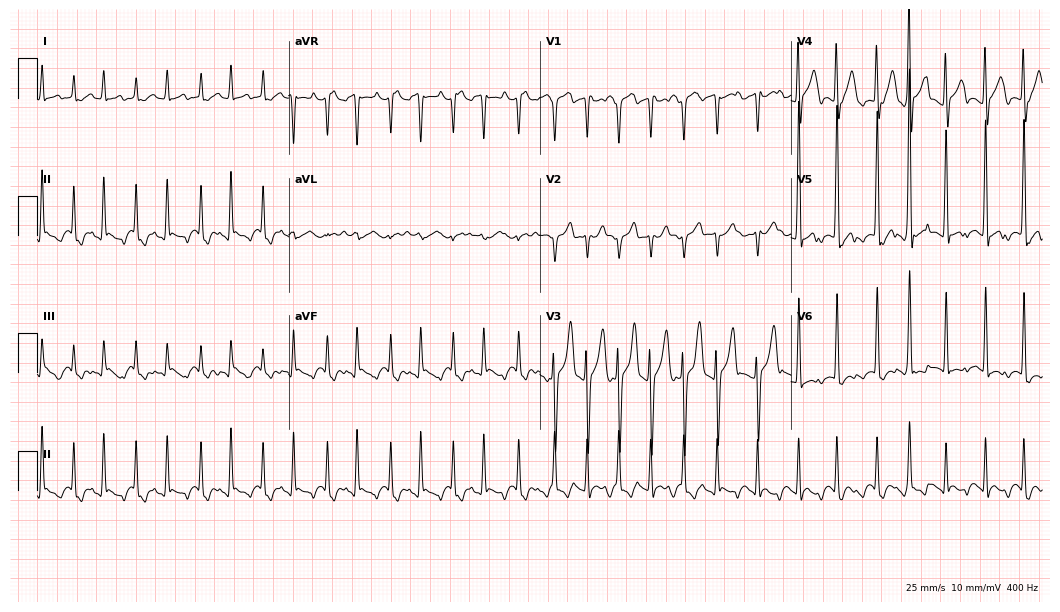
12-lead ECG from a 57-year-old male (10.2-second recording at 400 Hz). Shows sinus tachycardia (a sinus rate of 100 beats per minute or more).